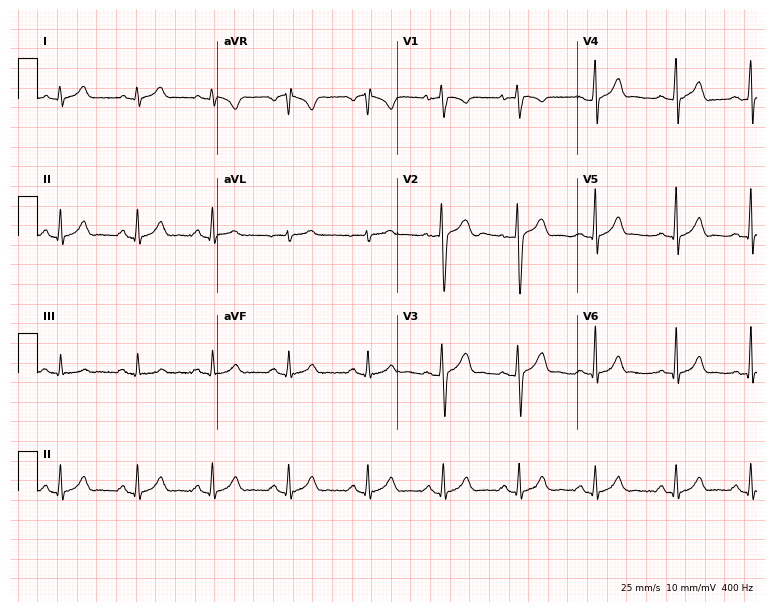
ECG — a male, 37 years old. Labelled as a normal ECG.